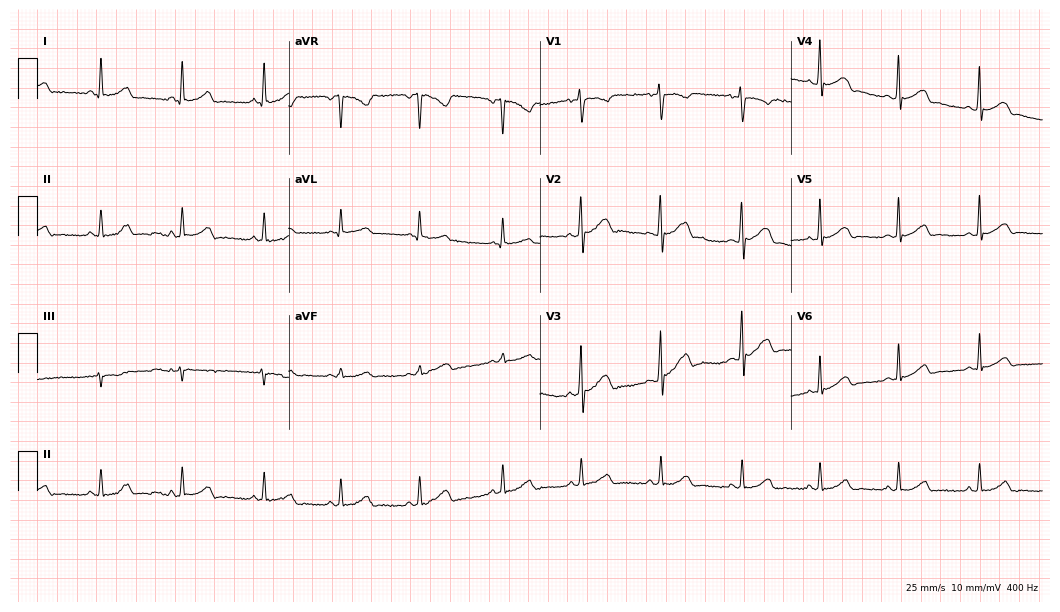
ECG — a 17-year-old woman. Labelled as a normal ECG.